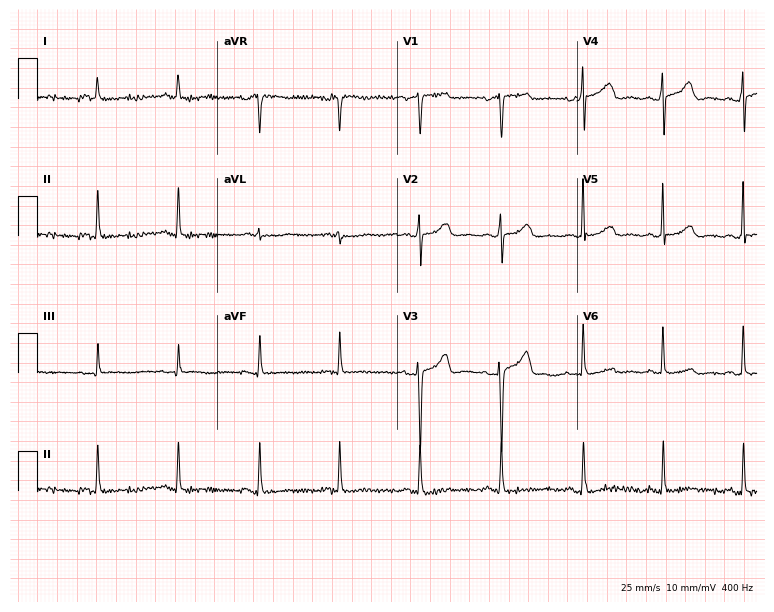
Electrocardiogram (7.3-second recording at 400 Hz), a 71-year-old woman. Of the six screened findings (first-degree AV block, right bundle branch block (RBBB), left bundle branch block (LBBB), sinus bradycardia, atrial fibrillation (AF), sinus tachycardia), none is recorded.